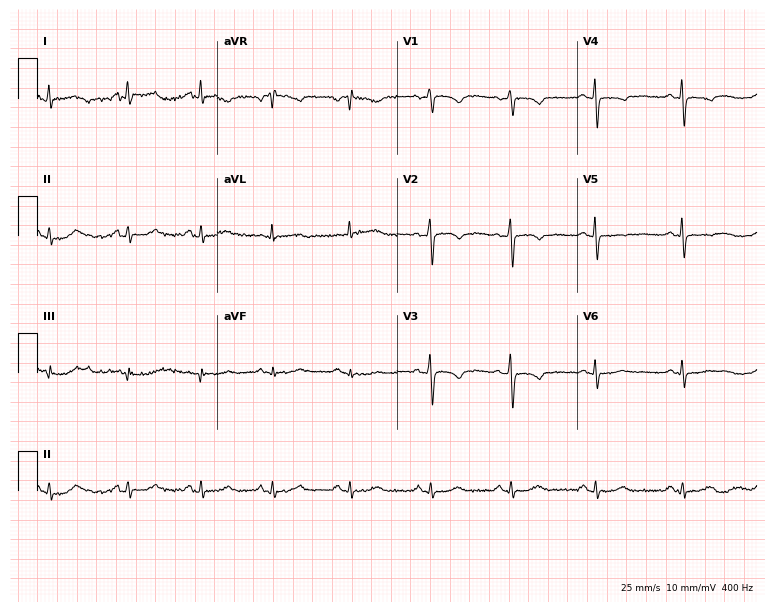
Electrocardiogram (7.3-second recording at 400 Hz), a 56-year-old female. Of the six screened findings (first-degree AV block, right bundle branch block, left bundle branch block, sinus bradycardia, atrial fibrillation, sinus tachycardia), none is recorded.